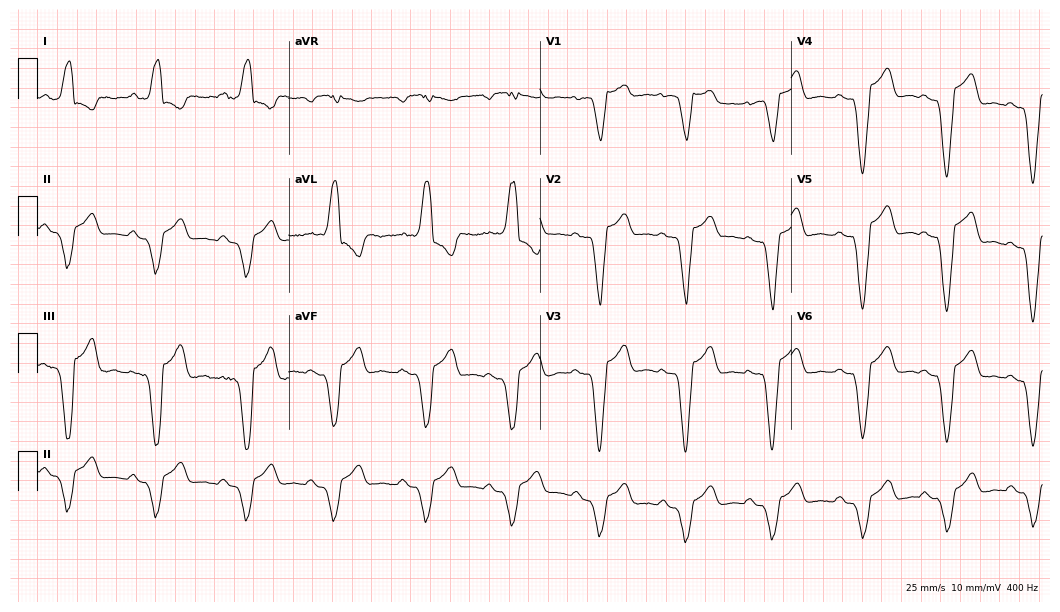
Standard 12-lead ECG recorded from a 40-year-old female (10.2-second recording at 400 Hz). None of these six findings is recorded: first-degree AV block, right bundle branch block, left bundle branch block, sinus bradycardia, atrial fibrillation, sinus tachycardia.